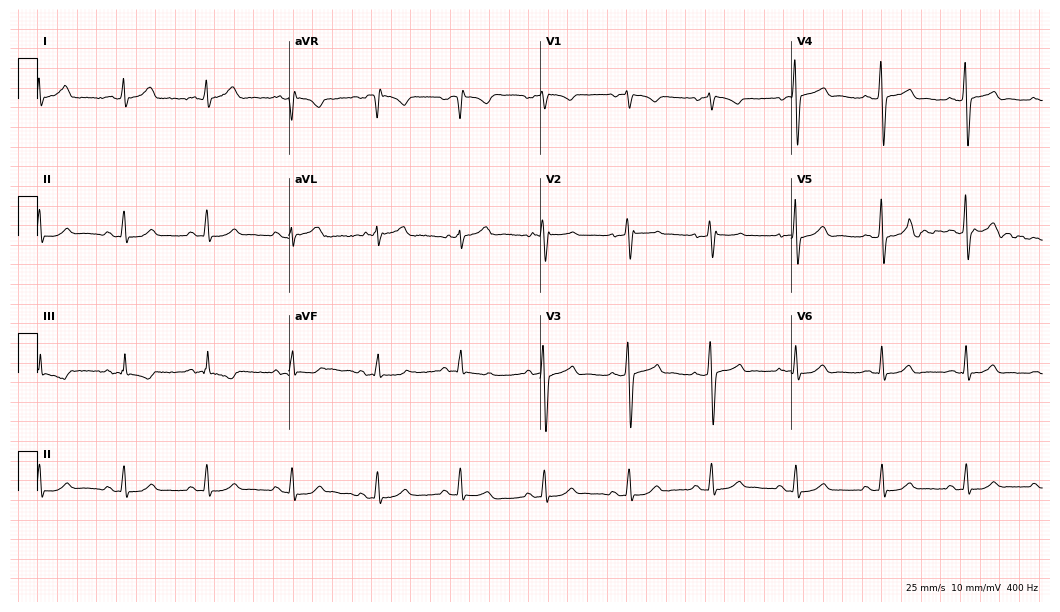
12-lead ECG from a 52-year-old woman. Labelled as a normal ECG.